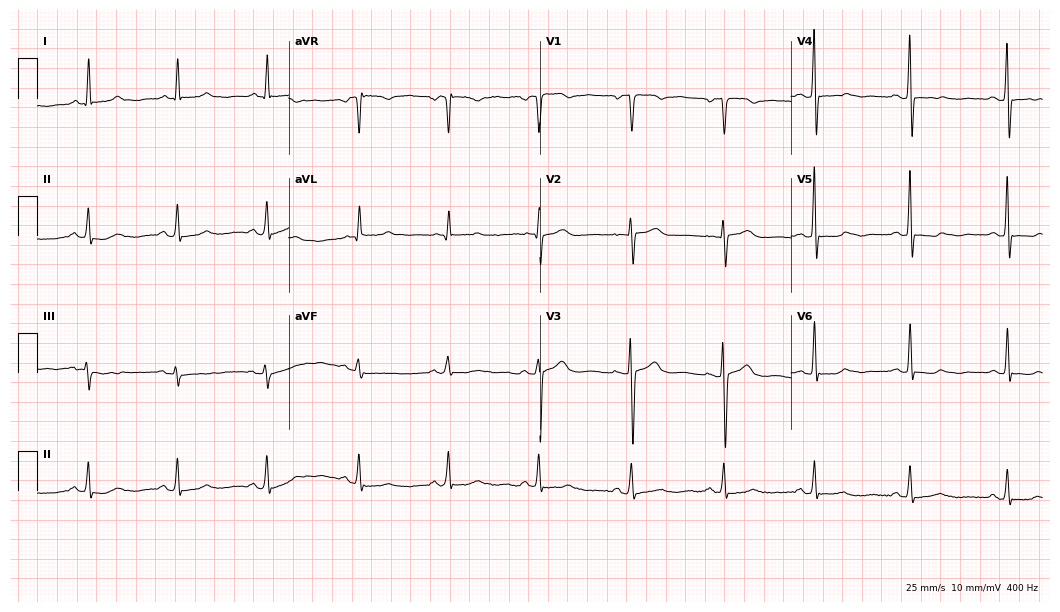
12-lead ECG from a 67-year-old female (10.2-second recording at 400 Hz). No first-degree AV block, right bundle branch block, left bundle branch block, sinus bradycardia, atrial fibrillation or sinus tachycardia recorded for this tracing. Only these six findings were labelled.